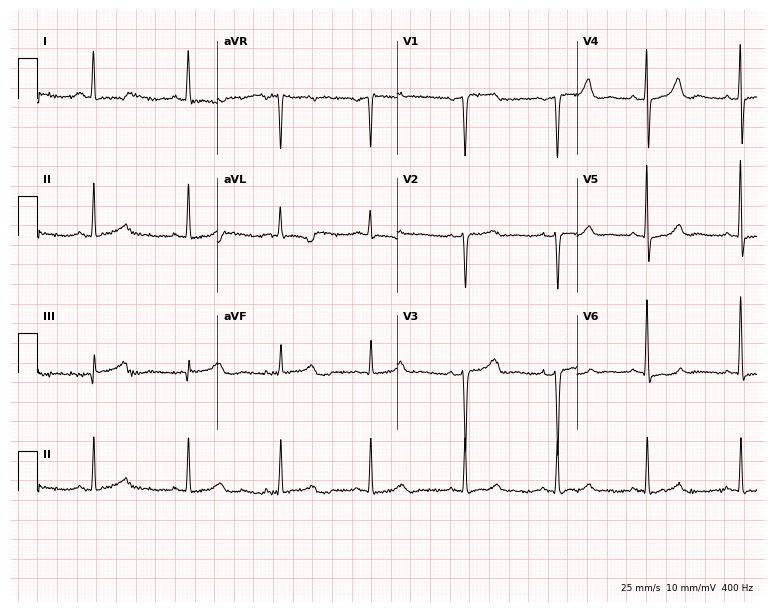
Electrocardiogram (7.3-second recording at 400 Hz), a 46-year-old female patient. Overall reading on record: normal ECG.